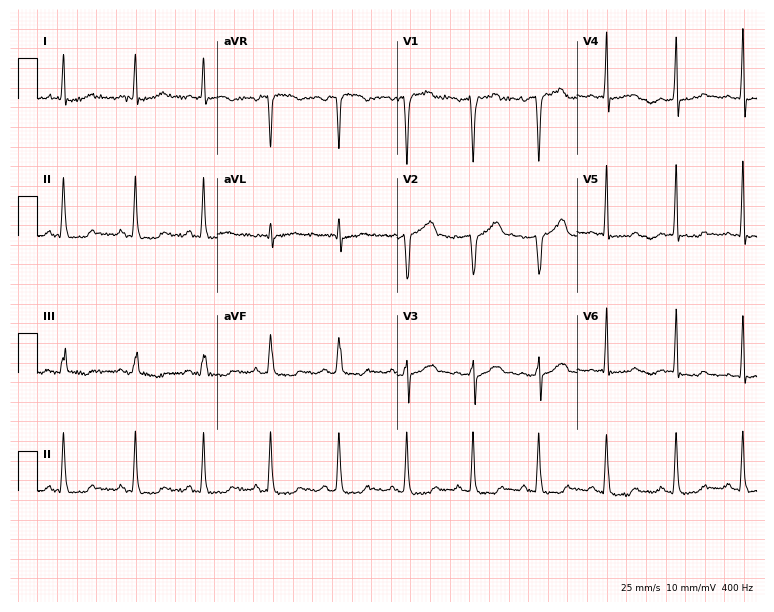
12-lead ECG from a man, 33 years old (7.3-second recording at 400 Hz). Recorded interpretation: within normal limits.